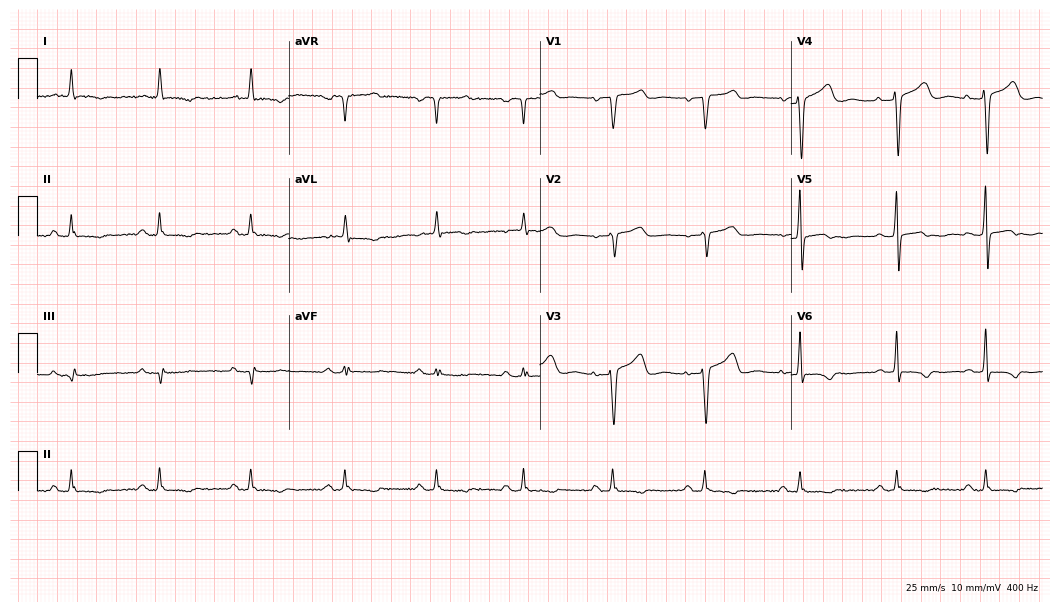
12-lead ECG from a man, 79 years old. Screened for six findings — first-degree AV block, right bundle branch block, left bundle branch block, sinus bradycardia, atrial fibrillation, sinus tachycardia — none is recorded. Findings outside these six are not listed.